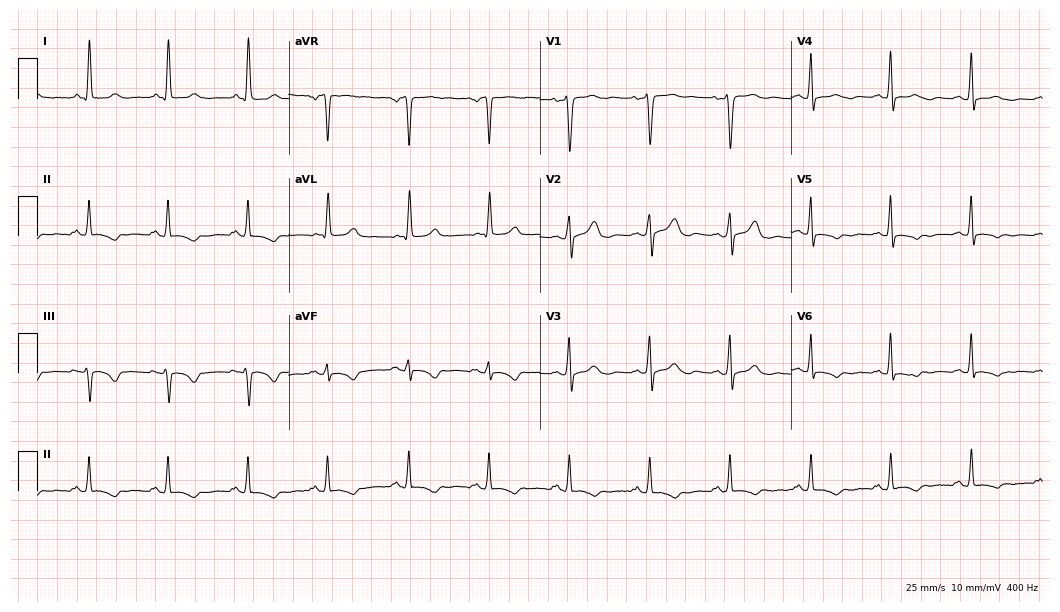
12-lead ECG from a 64-year-old woman (10.2-second recording at 400 Hz). No first-degree AV block, right bundle branch block, left bundle branch block, sinus bradycardia, atrial fibrillation or sinus tachycardia recorded for this tracing.